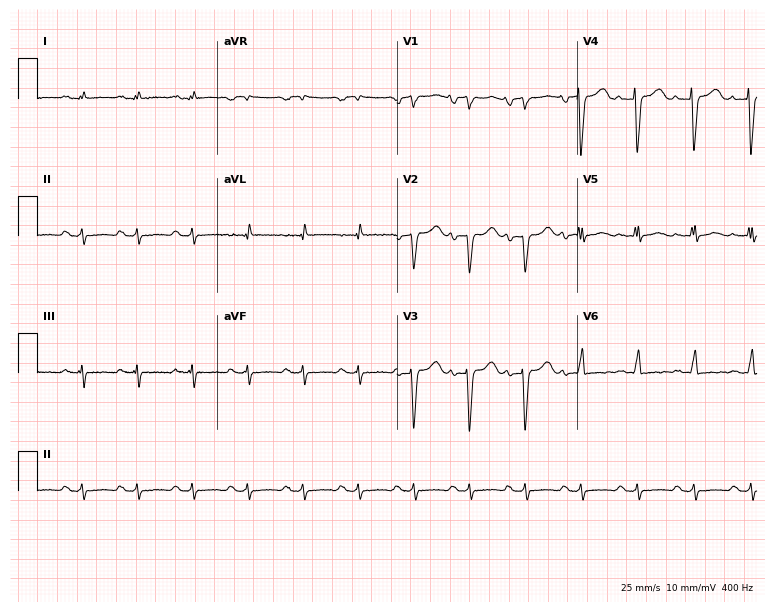
Electrocardiogram (7.3-second recording at 400 Hz), a 47-year-old male. Overall reading on record: normal ECG.